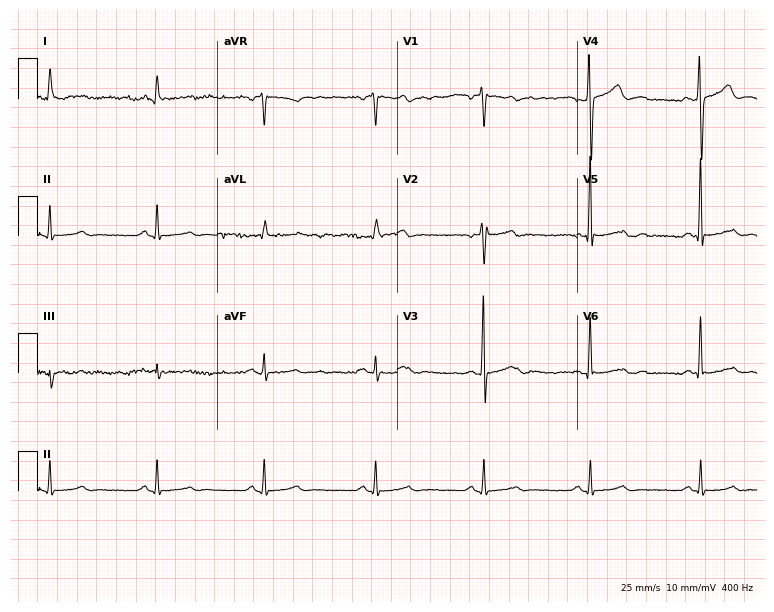
12-lead ECG from a male, 64 years old. No first-degree AV block, right bundle branch block (RBBB), left bundle branch block (LBBB), sinus bradycardia, atrial fibrillation (AF) or sinus tachycardia recorded for this tracing. Only these six findings were labelled.